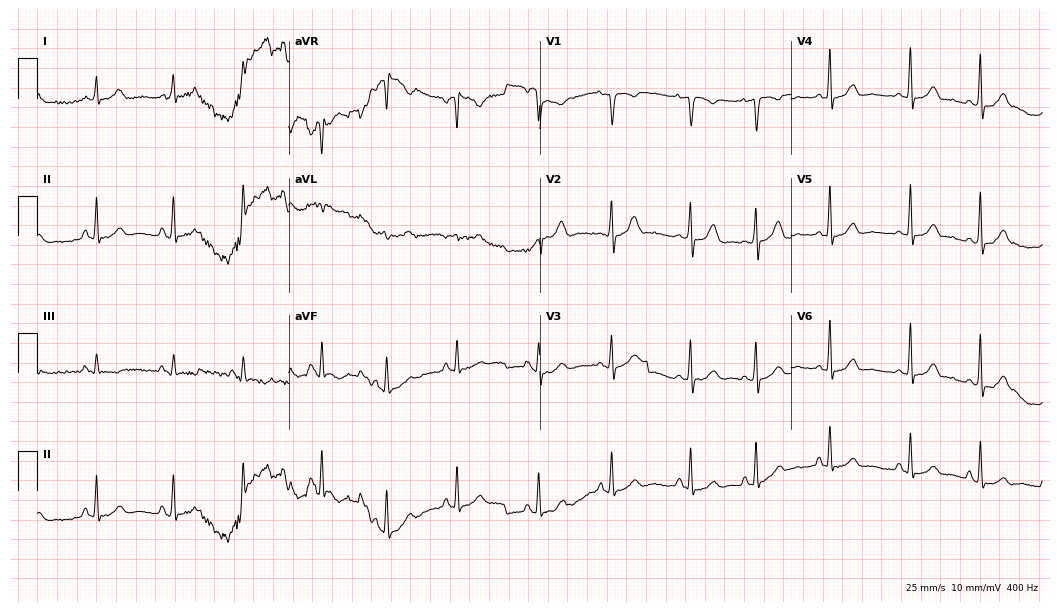
ECG (10.2-second recording at 400 Hz) — a 34-year-old woman. Labelled as a normal ECG.